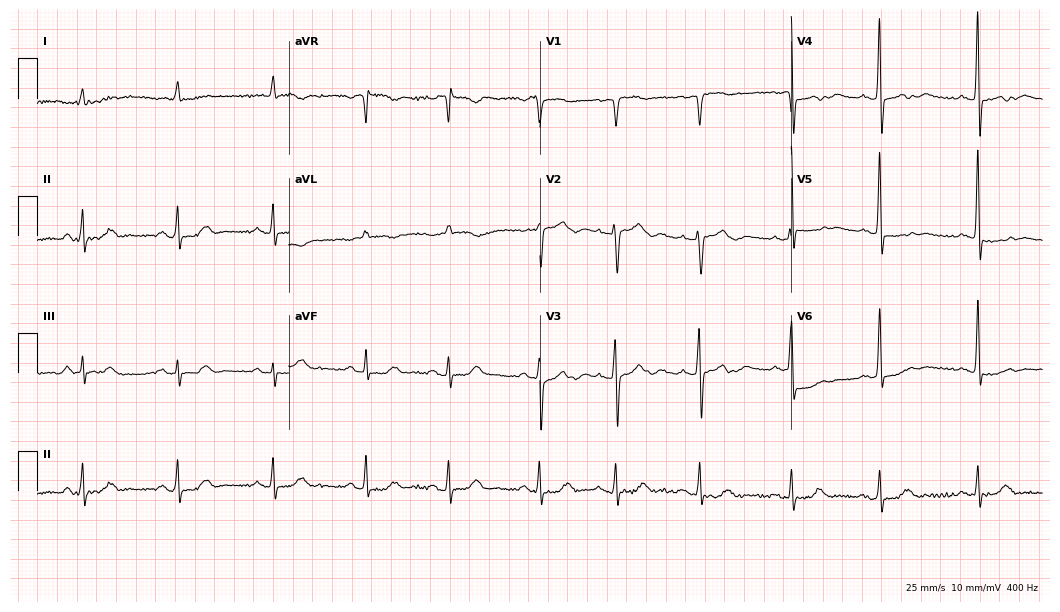
ECG (10.2-second recording at 400 Hz) — a woman, 84 years old. Screened for six findings — first-degree AV block, right bundle branch block, left bundle branch block, sinus bradycardia, atrial fibrillation, sinus tachycardia — none is recorded.